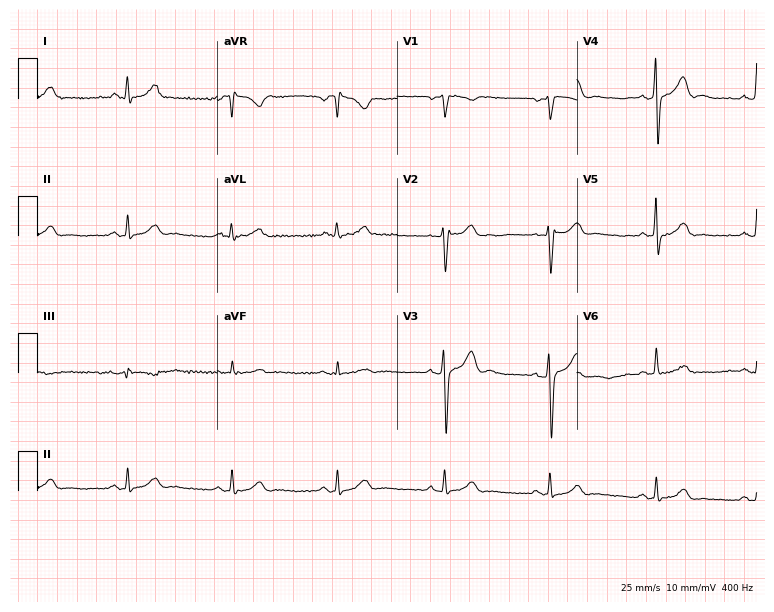
ECG — a man, 41 years old. Screened for six findings — first-degree AV block, right bundle branch block, left bundle branch block, sinus bradycardia, atrial fibrillation, sinus tachycardia — none is recorded.